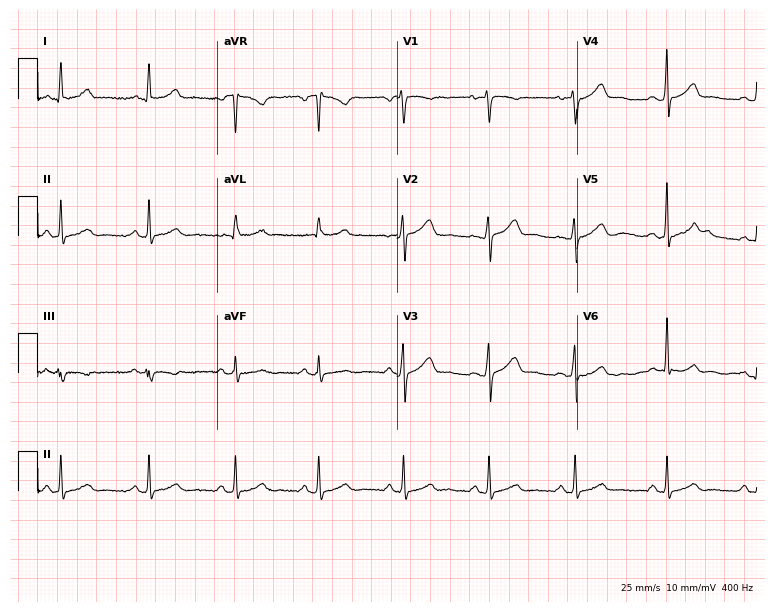
12-lead ECG from a woman, 18 years old. No first-degree AV block, right bundle branch block, left bundle branch block, sinus bradycardia, atrial fibrillation or sinus tachycardia recorded for this tracing.